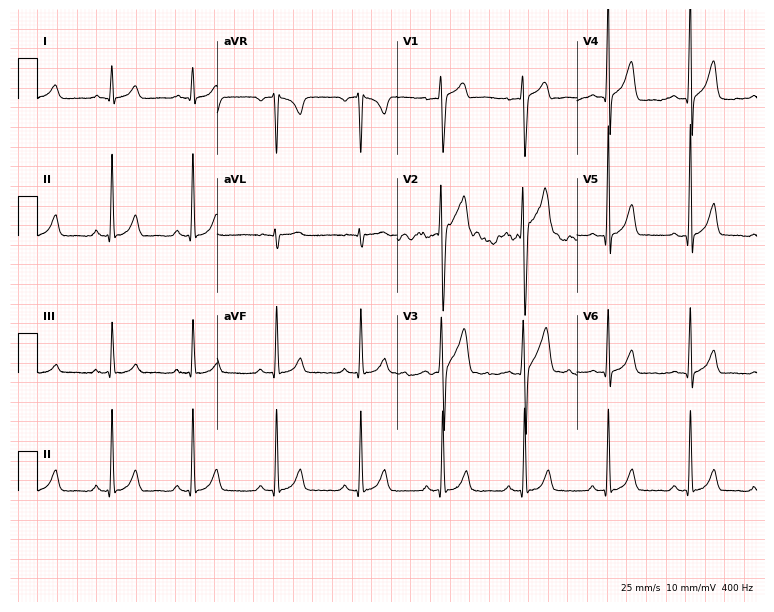
12-lead ECG (7.3-second recording at 400 Hz) from a man, 20 years old. Labelled as a normal ECG.